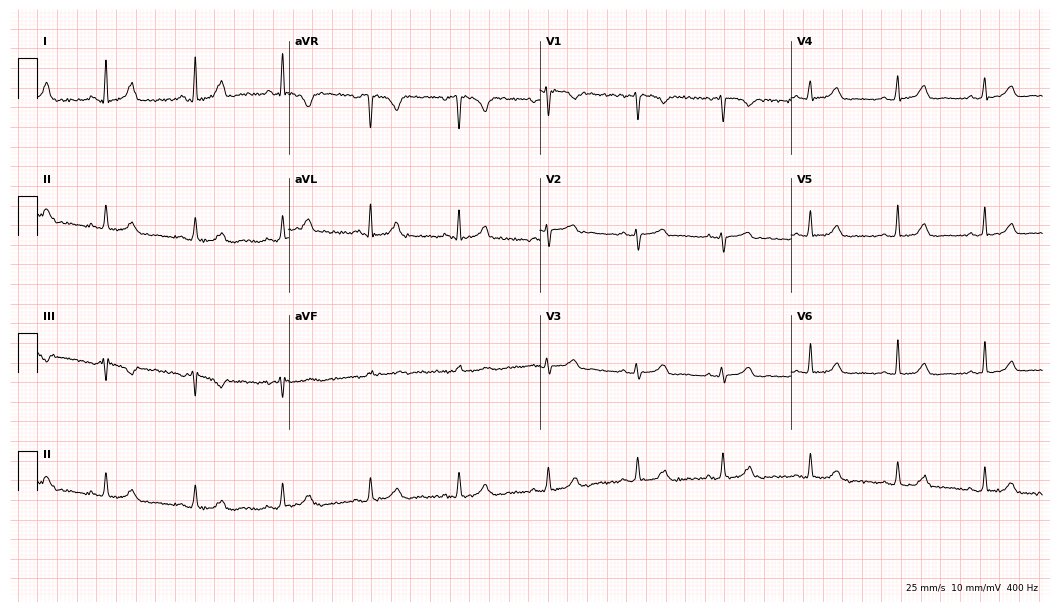
Standard 12-lead ECG recorded from a 41-year-old woman (10.2-second recording at 400 Hz). None of these six findings is recorded: first-degree AV block, right bundle branch block (RBBB), left bundle branch block (LBBB), sinus bradycardia, atrial fibrillation (AF), sinus tachycardia.